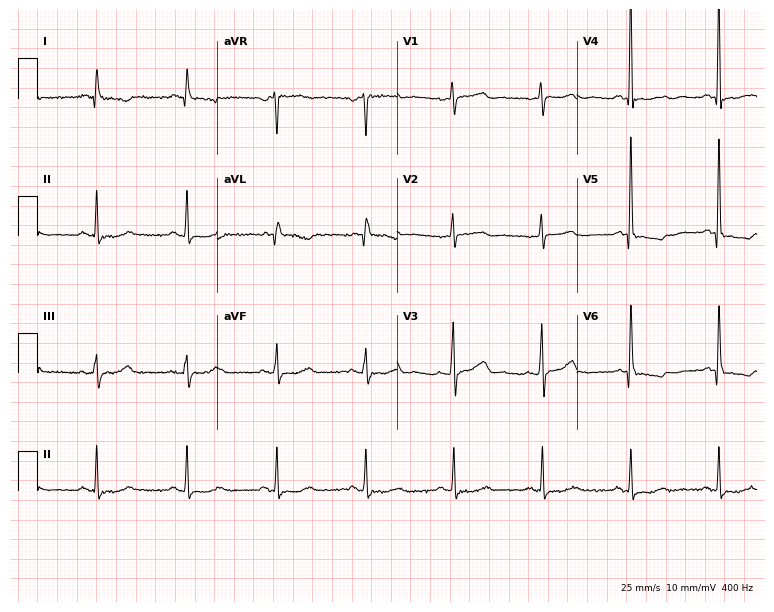
12-lead ECG from a 79-year-old female patient. No first-degree AV block, right bundle branch block, left bundle branch block, sinus bradycardia, atrial fibrillation or sinus tachycardia recorded for this tracing.